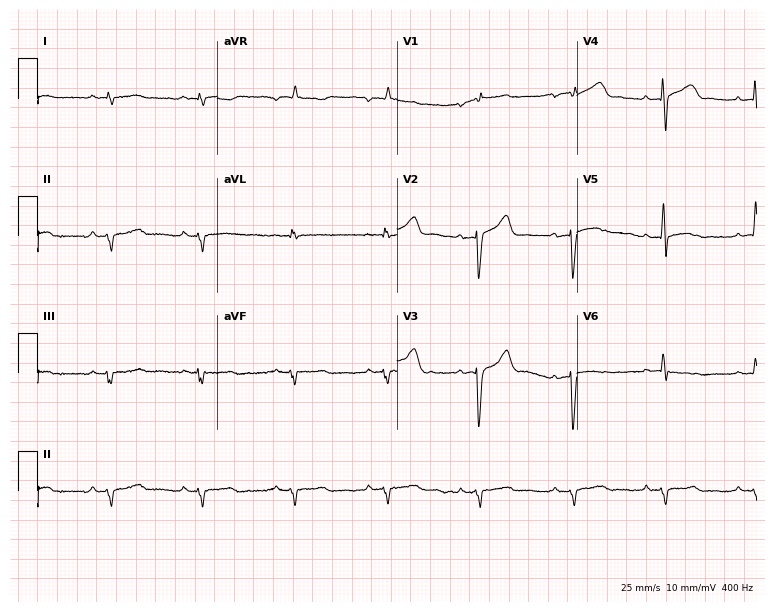
12-lead ECG from a male patient, 35 years old. Screened for six findings — first-degree AV block, right bundle branch block, left bundle branch block, sinus bradycardia, atrial fibrillation, sinus tachycardia — none is recorded.